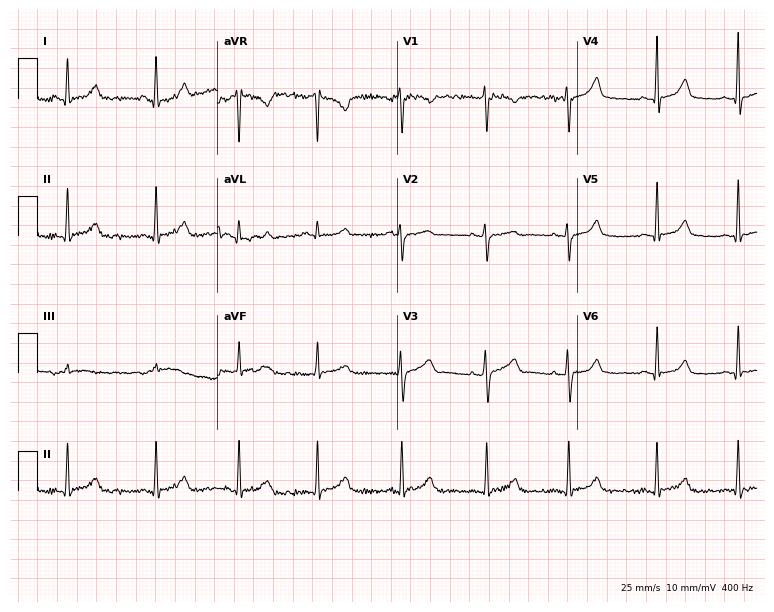
Standard 12-lead ECG recorded from a 39-year-old woman (7.3-second recording at 400 Hz). Read as a normal ECG.